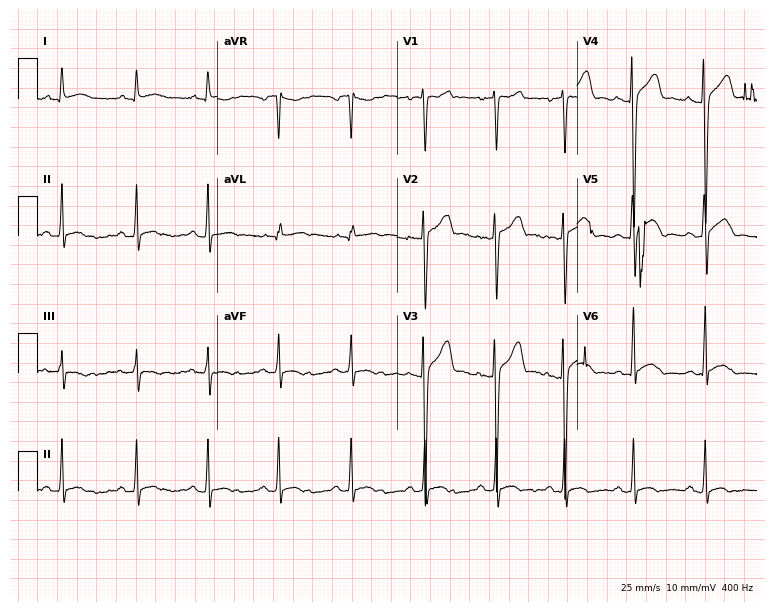
Standard 12-lead ECG recorded from a male patient, 20 years old (7.3-second recording at 400 Hz). Read as a normal ECG.